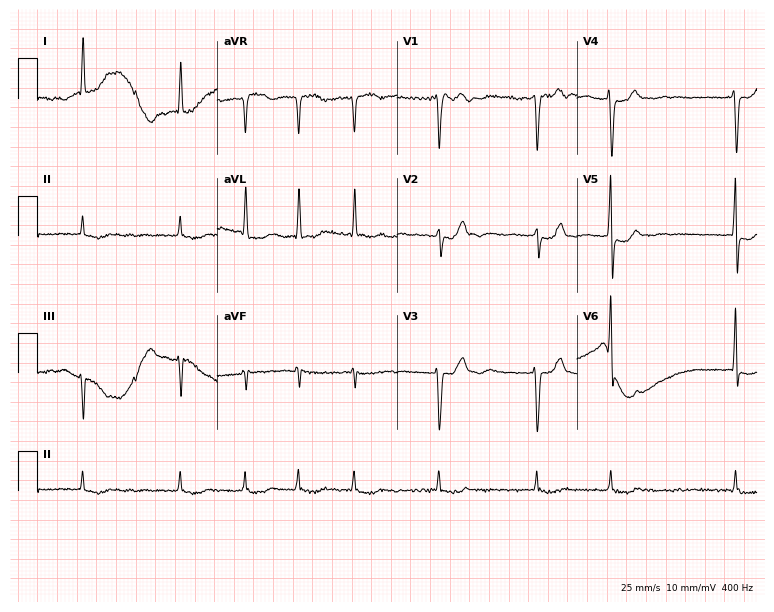
Resting 12-lead electrocardiogram. Patient: a female, 83 years old. The tracing shows atrial fibrillation (AF).